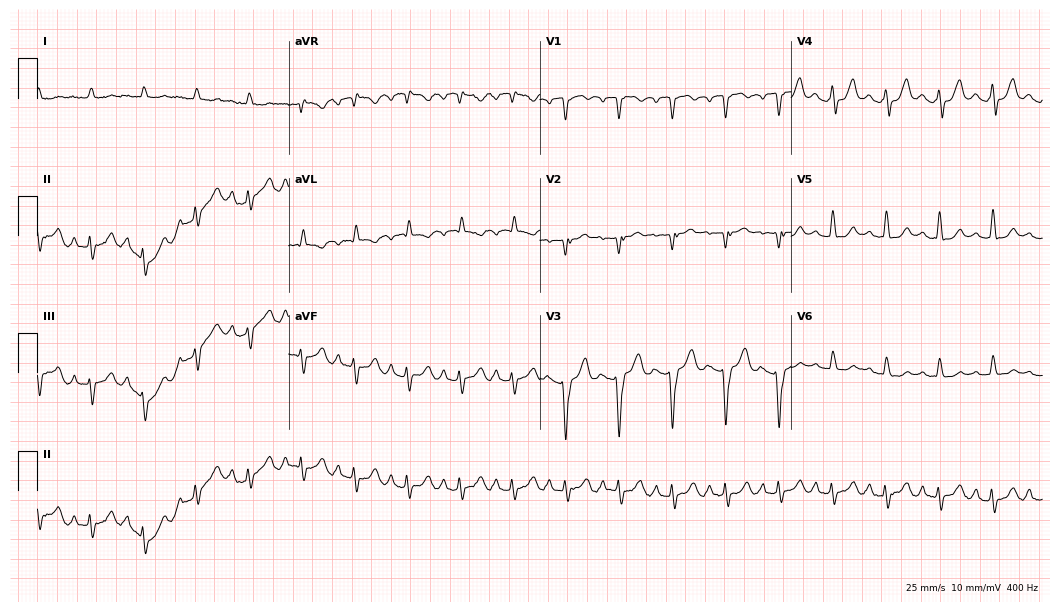
ECG — a male, 79 years old. Screened for six findings — first-degree AV block, right bundle branch block, left bundle branch block, sinus bradycardia, atrial fibrillation, sinus tachycardia — none is recorded.